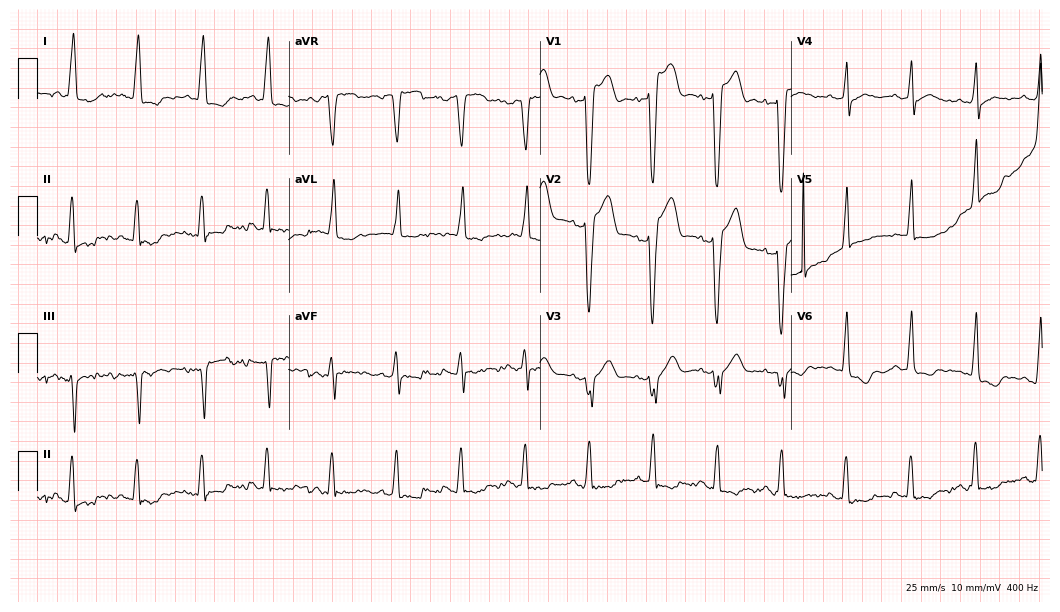
ECG — a 73-year-old female patient. Screened for six findings — first-degree AV block, right bundle branch block (RBBB), left bundle branch block (LBBB), sinus bradycardia, atrial fibrillation (AF), sinus tachycardia — none is recorded.